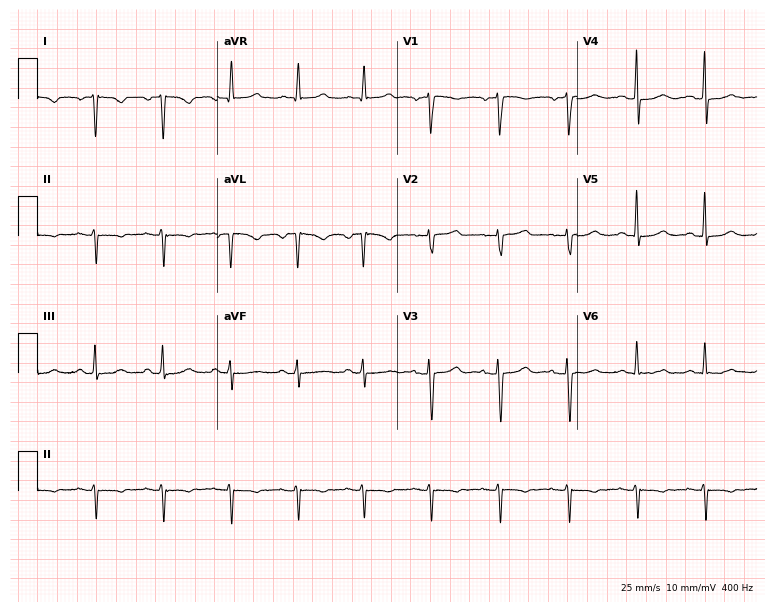
12-lead ECG (7.3-second recording at 400 Hz) from a female, 51 years old. Screened for six findings — first-degree AV block, right bundle branch block, left bundle branch block, sinus bradycardia, atrial fibrillation, sinus tachycardia — none is recorded.